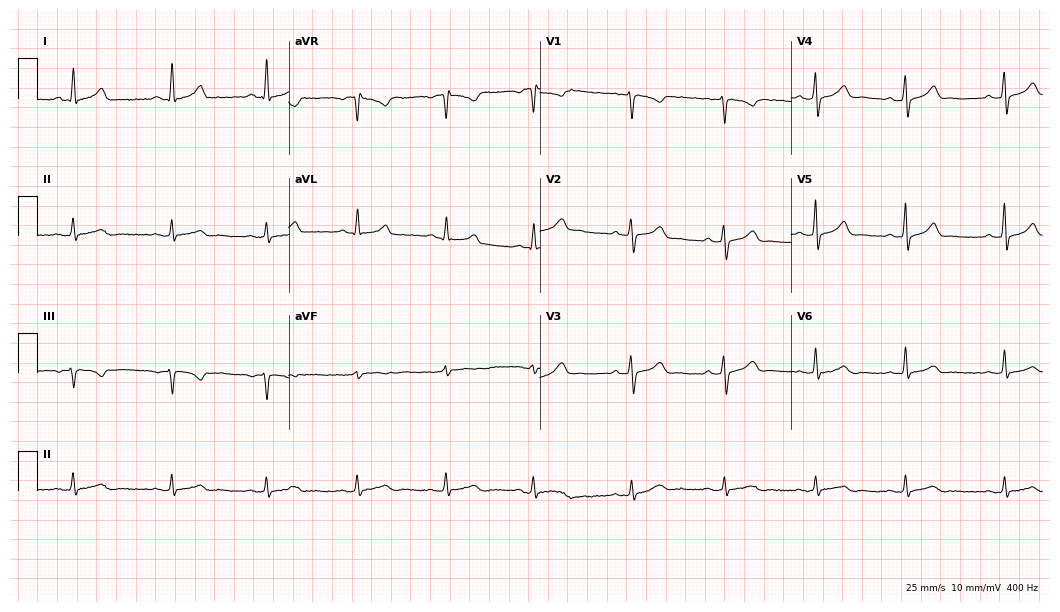
Electrocardiogram (10.2-second recording at 400 Hz), a 44-year-old woman. Of the six screened findings (first-degree AV block, right bundle branch block, left bundle branch block, sinus bradycardia, atrial fibrillation, sinus tachycardia), none is recorded. Only these six findings were labelled.